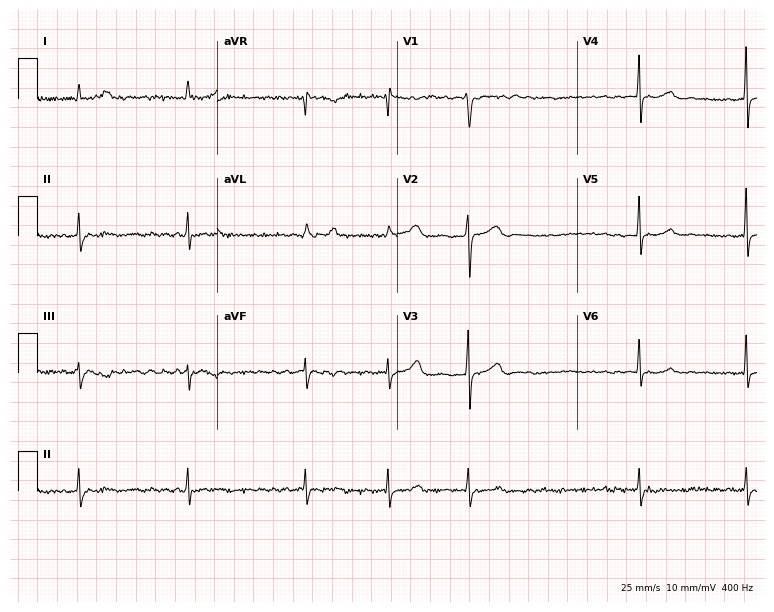
Electrocardiogram (7.3-second recording at 400 Hz), a male patient, 53 years old. Interpretation includes atrial fibrillation (AF).